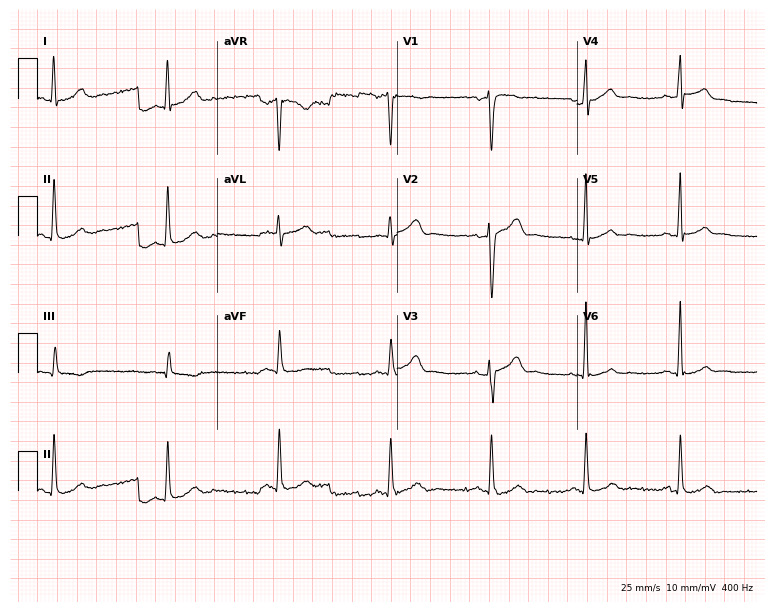
12-lead ECG (7.3-second recording at 400 Hz) from a 37-year-old man. Labelled as a normal ECG.